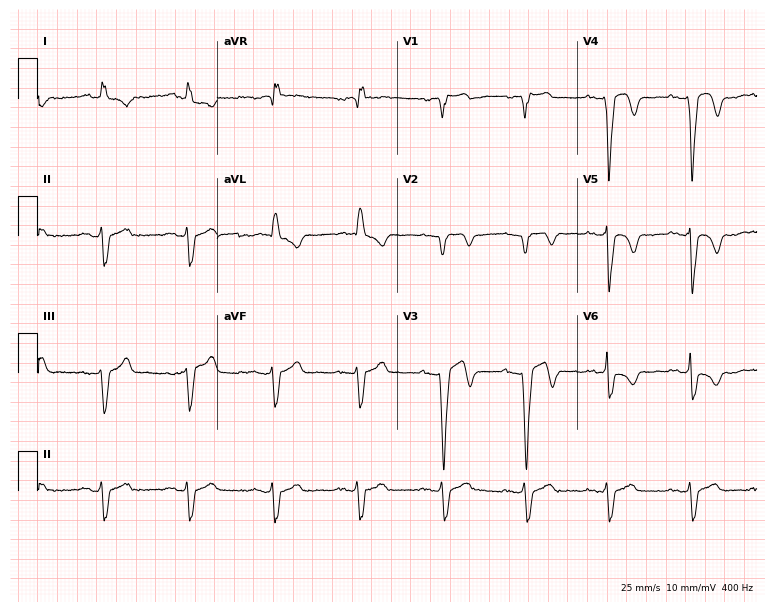
ECG (7.3-second recording at 400 Hz) — a 72-year-old male patient. Screened for six findings — first-degree AV block, right bundle branch block, left bundle branch block, sinus bradycardia, atrial fibrillation, sinus tachycardia — none is recorded.